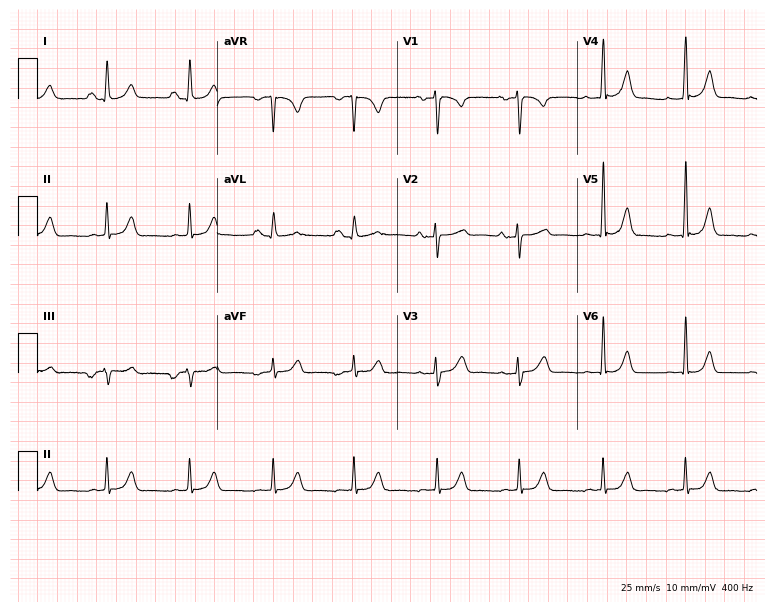
12-lead ECG from a 26-year-old female patient. Recorded interpretation: within normal limits.